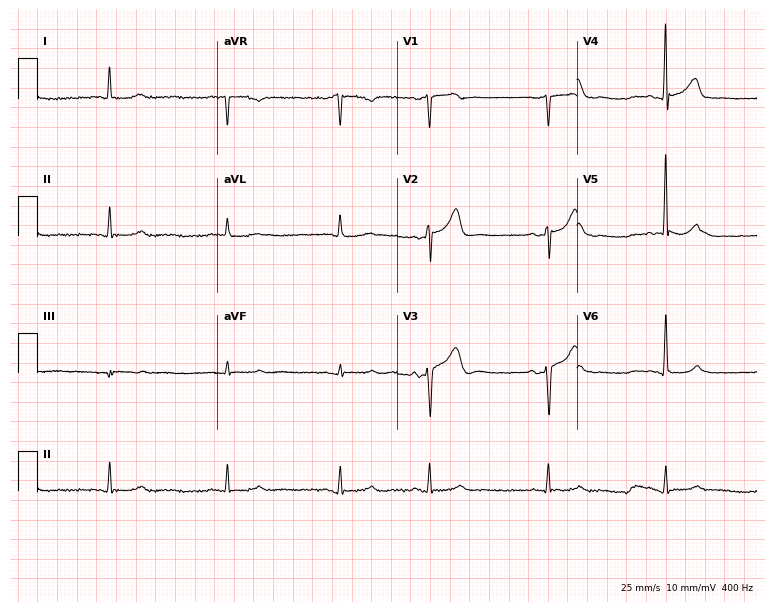
12-lead ECG from an 85-year-old male patient (7.3-second recording at 400 Hz). Recorded interpretation: within normal limits.